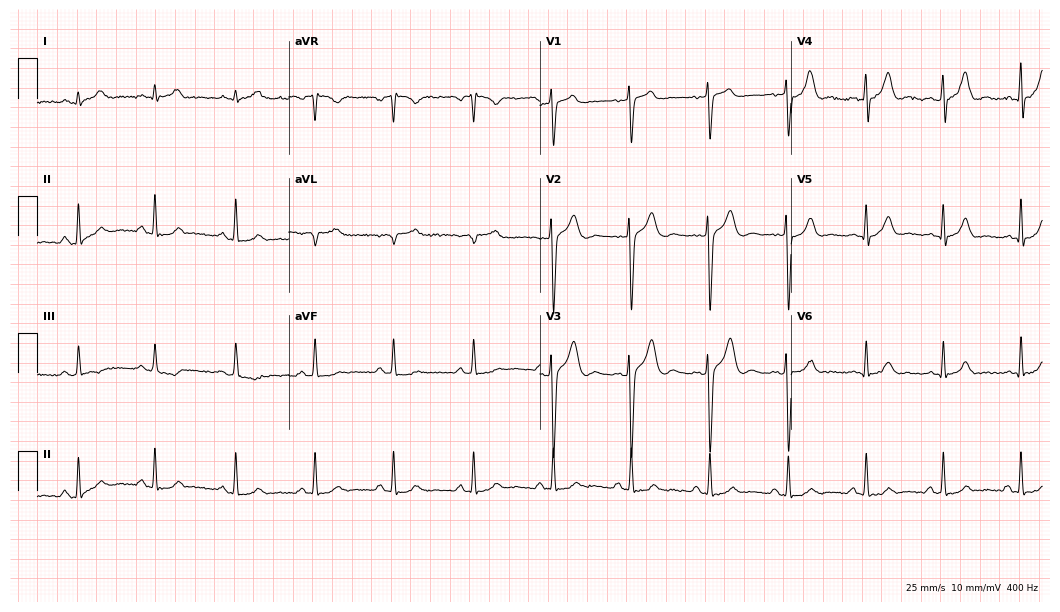
ECG (10.2-second recording at 400 Hz) — a male patient, 29 years old. Screened for six findings — first-degree AV block, right bundle branch block (RBBB), left bundle branch block (LBBB), sinus bradycardia, atrial fibrillation (AF), sinus tachycardia — none is recorded.